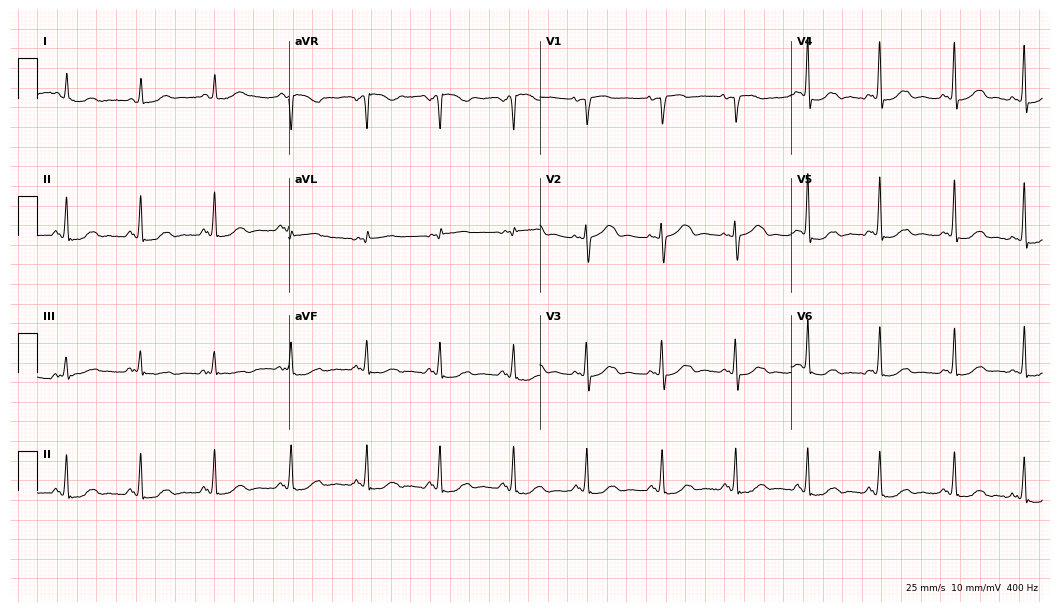
12-lead ECG from a 77-year-old female (10.2-second recording at 400 Hz). Recorded interpretation: within normal limits.